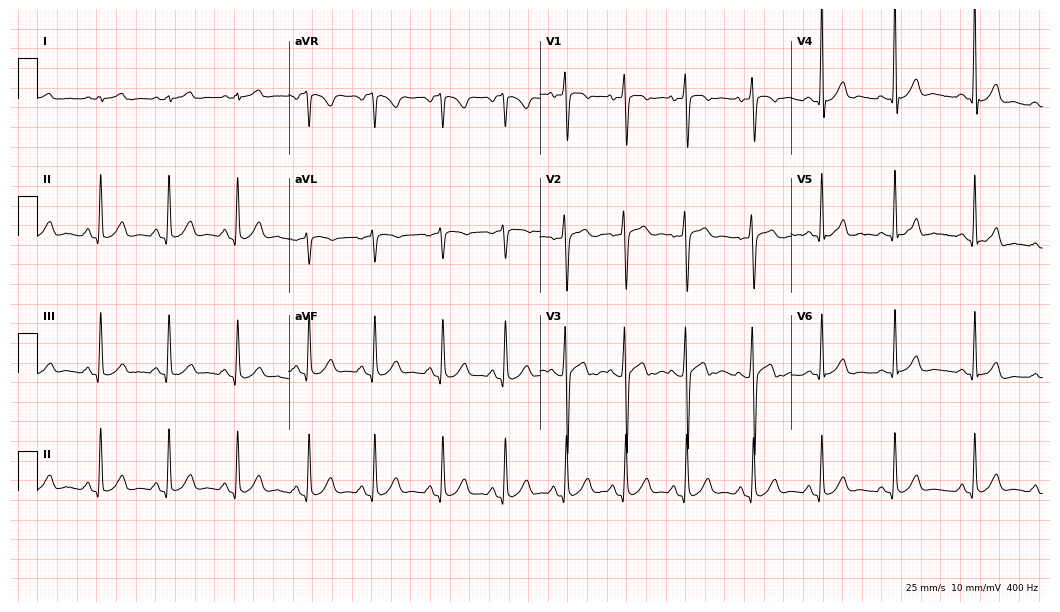
ECG (10.2-second recording at 400 Hz) — a man, 17 years old. Labelled as a normal ECG.